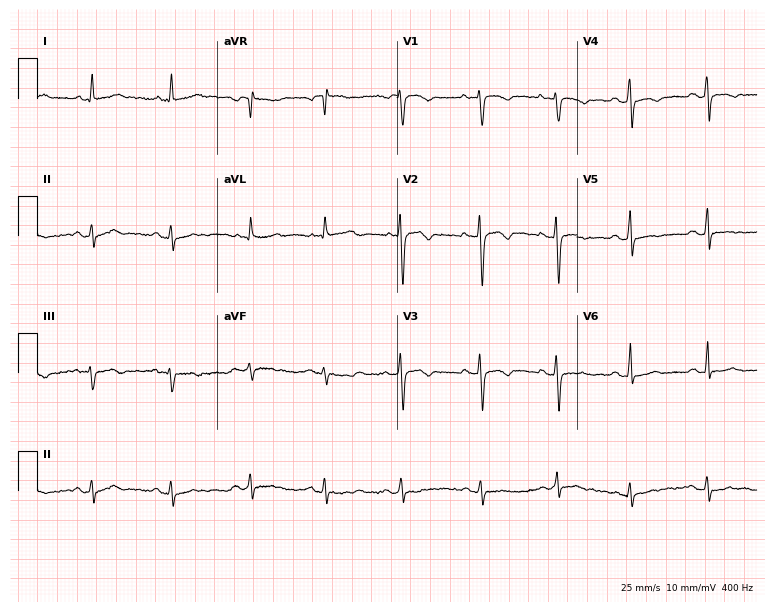
Standard 12-lead ECG recorded from a 47-year-old female patient. None of these six findings is recorded: first-degree AV block, right bundle branch block, left bundle branch block, sinus bradycardia, atrial fibrillation, sinus tachycardia. Findings outside these six are not listed.